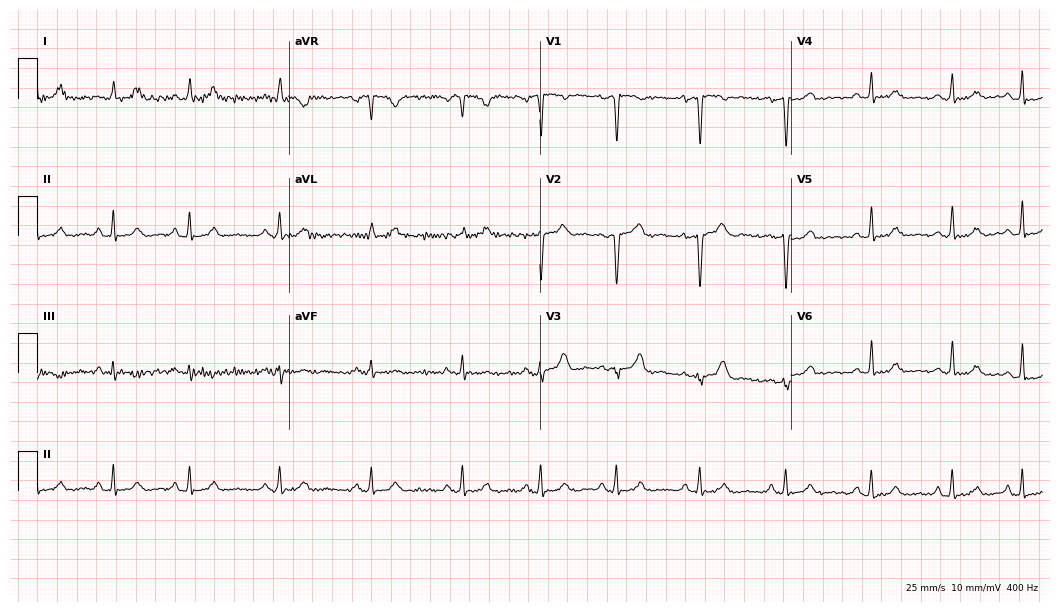
Resting 12-lead electrocardiogram. Patient: a female, 34 years old. Read as a normal ECG.